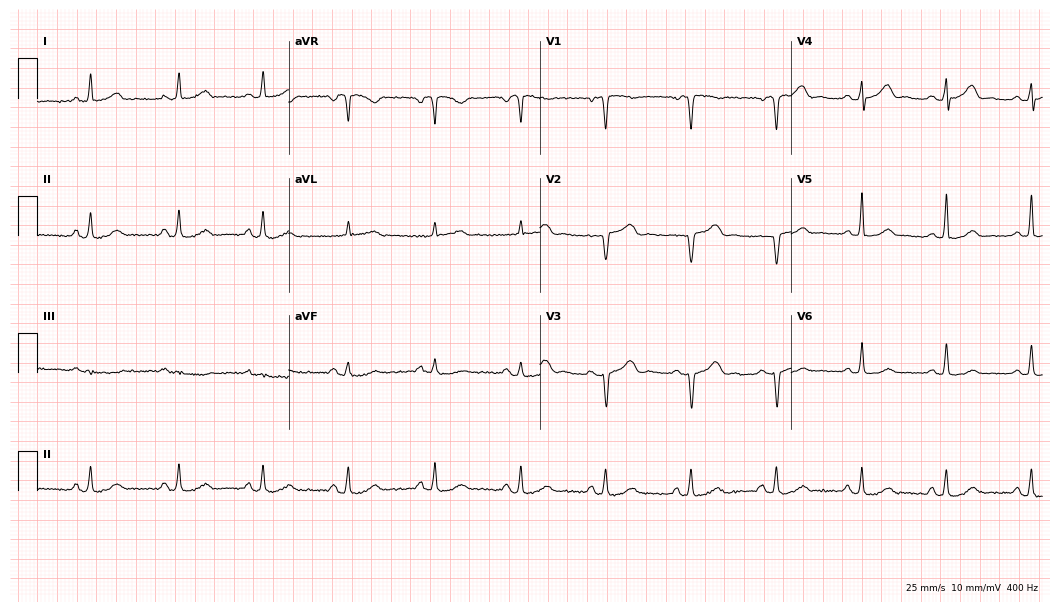
12-lead ECG (10.2-second recording at 400 Hz) from a 44-year-old female. Screened for six findings — first-degree AV block, right bundle branch block, left bundle branch block, sinus bradycardia, atrial fibrillation, sinus tachycardia — none is recorded.